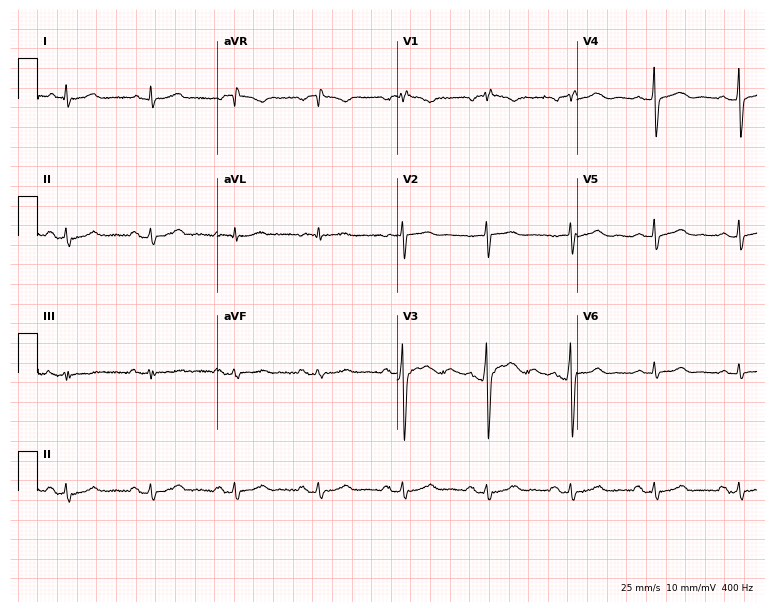
Resting 12-lead electrocardiogram (7.3-second recording at 400 Hz). Patient: a male, 74 years old. None of these six findings is recorded: first-degree AV block, right bundle branch block (RBBB), left bundle branch block (LBBB), sinus bradycardia, atrial fibrillation (AF), sinus tachycardia.